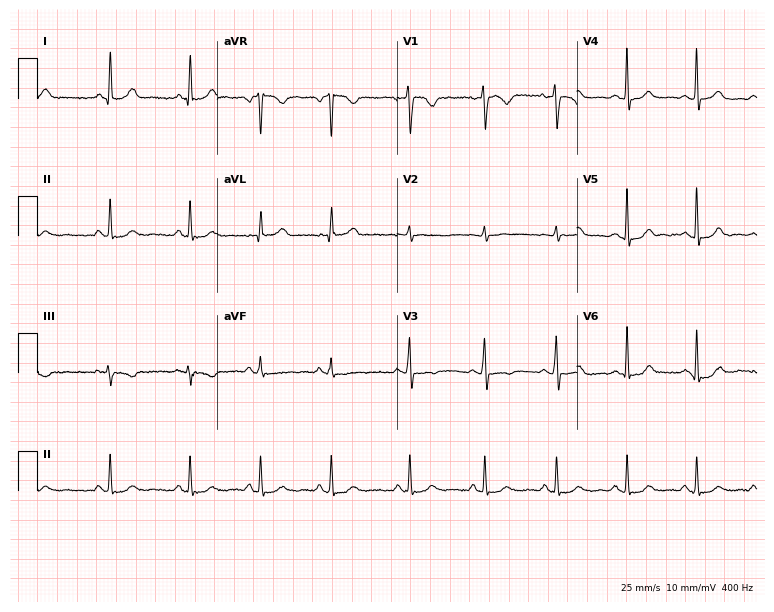
Resting 12-lead electrocardiogram (7.3-second recording at 400 Hz). Patient: a female, 21 years old. Read as a normal ECG.